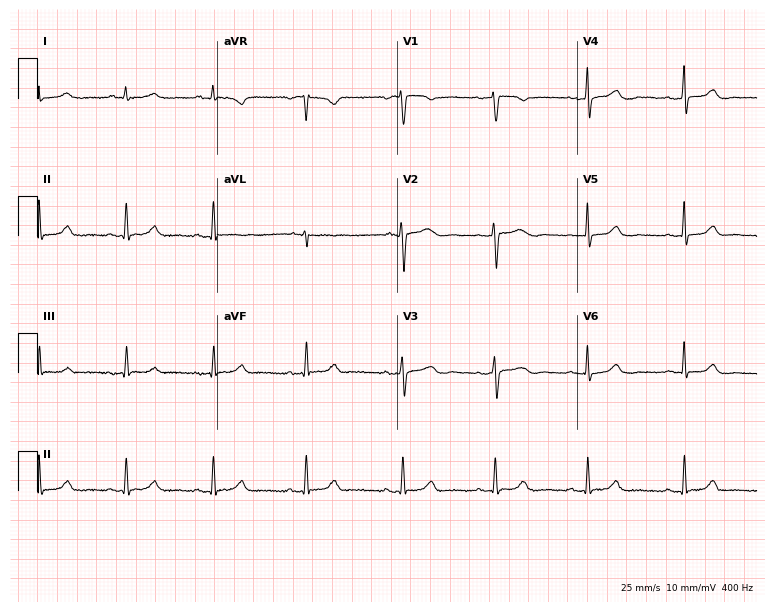
Resting 12-lead electrocardiogram (7.3-second recording at 400 Hz). Patient: a 51-year-old female. None of these six findings is recorded: first-degree AV block, right bundle branch block, left bundle branch block, sinus bradycardia, atrial fibrillation, sinus tachycardia.